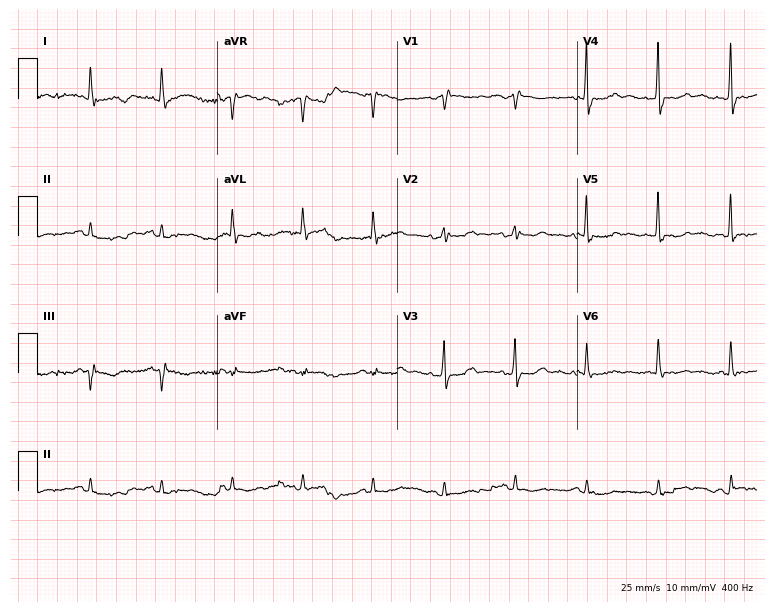
ECG (7.3-second recording at 400 Hz) — a 73-year-old female. Screened for six findings — first-degree AV block, right bundle branch block (RBBB), left bundle branch block (LBBB), sinus bradycardia, atrial fibrillation (AF), sinus tachycardia — none is recorded.